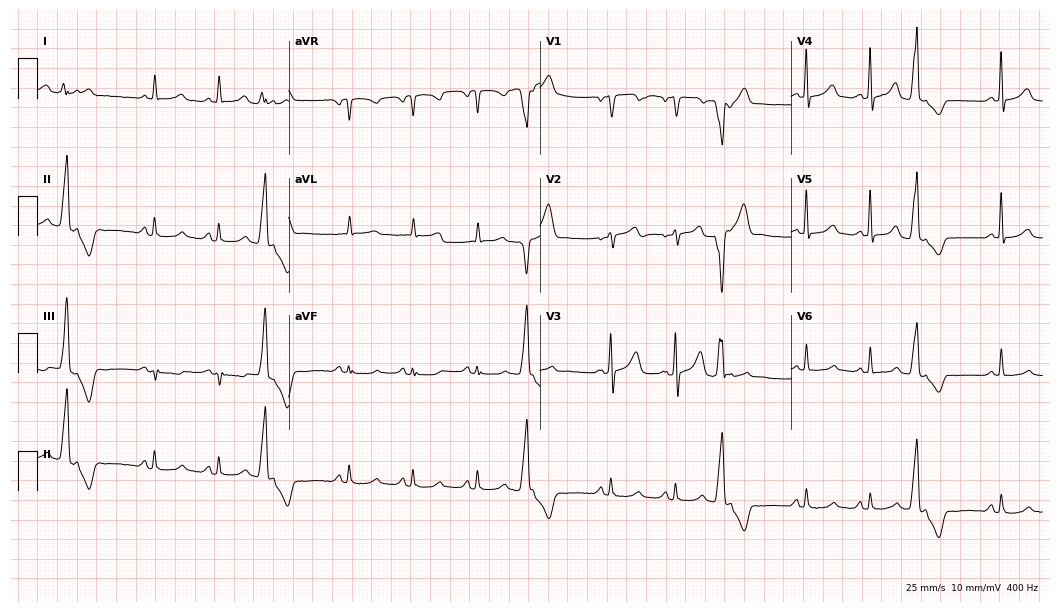
ECG — a male, 82 years old. Screened for six findings — first-degree AV block, right bundle branch block, left bundle branch block, sinus bradycardia, atrial fibrillation, sinus tachycardia — none is recorded.